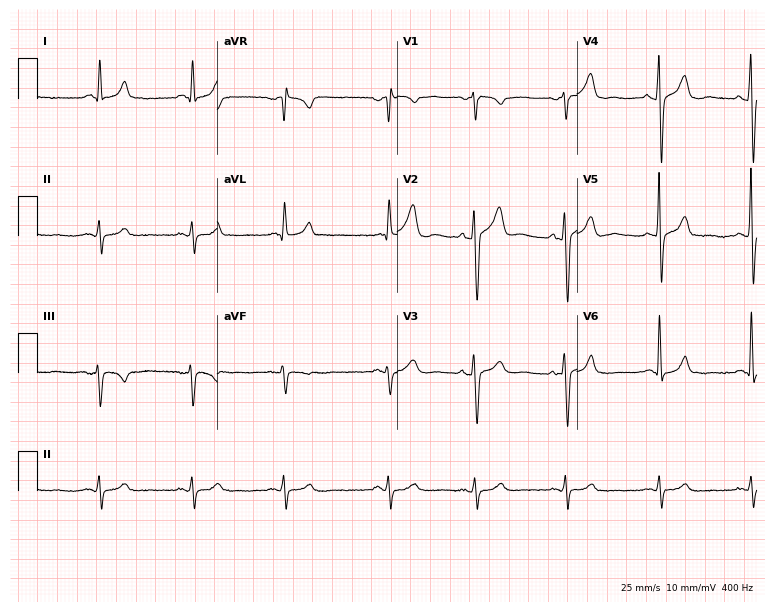
12-lead ECG from a male, 57 years old. No first-degree AV block, right bundle branch block, left bundle branch block, sinus bradycardia, atrial fibrillation or sinus tachycardia recorded for this tracing.